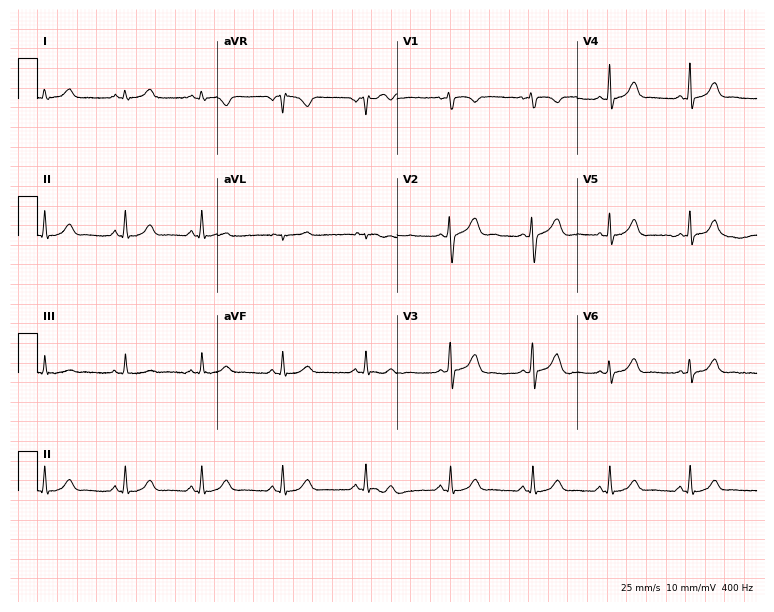
12-lead ECG from an 18-year-old woman. Labelled as a normal ECG.